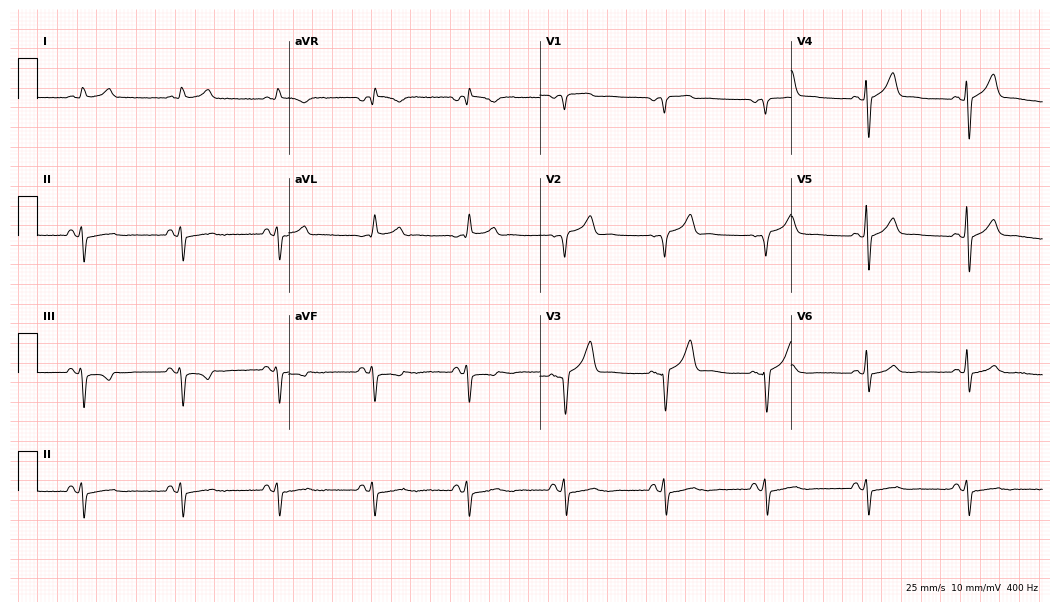
ECG (10.2-second recording at 400 Hz) — a man, 65 years old. Screened for six findings — first-degree AV block, right bundle branch block (RBBB), left bundle branch block (LBBB), sinus bradycardia, atrial fibrillation (AF), sinus tachycardia — none is recorded.